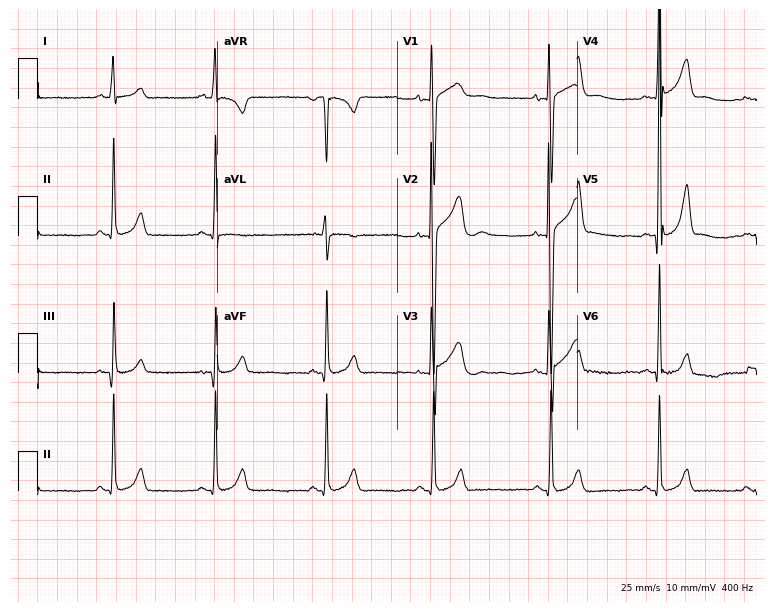
Resting 12-lead electrocardiogram. Patient: a 29-year-old male. None of these six findings is recorded: first-degree AV block, right bundle branch block, left bundle branch block, sinus bradycardia, atrial fibrillation, sinus tachycardia. Only these six findings were labelled.